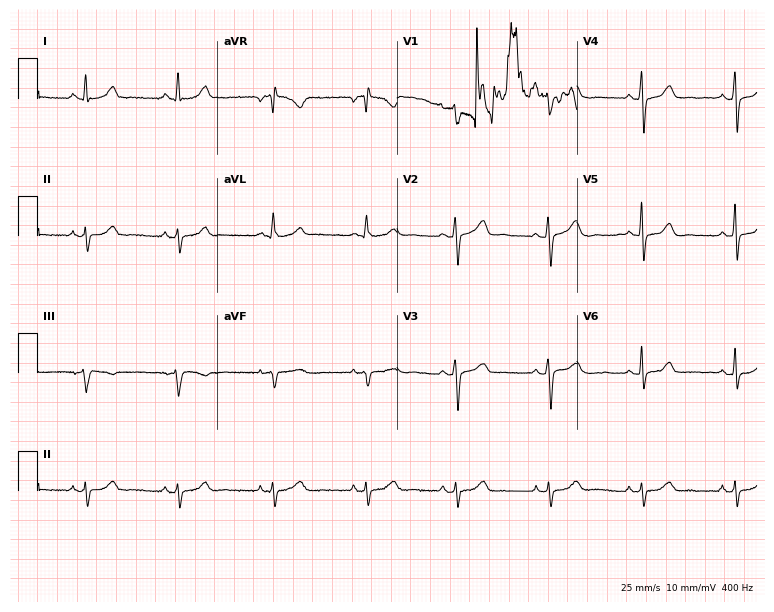
12-lead ECG from a female, 43 years old (7.3-second recording at 400 Hz). No first-degree AV block, right bundle branch block, left bundle branch block, sinus bradycardia, atrial fibrillation or sinus tachycardia recorded for this tracing.